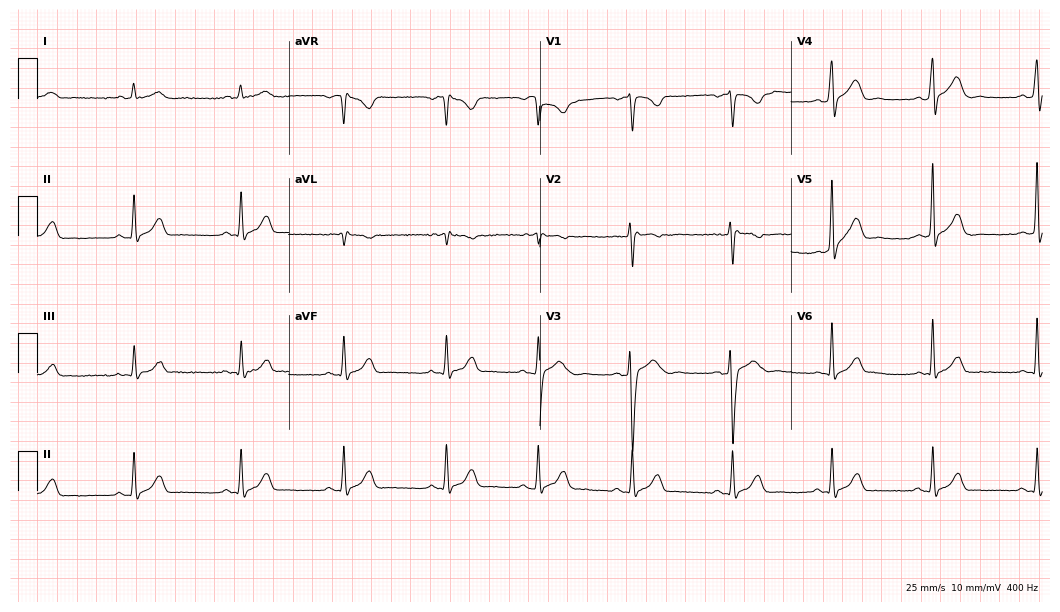
12-lead ECG from a male patient, 35 years old (10.2-second recording at 400 Hz). Recorded interpretation: within normal limits.